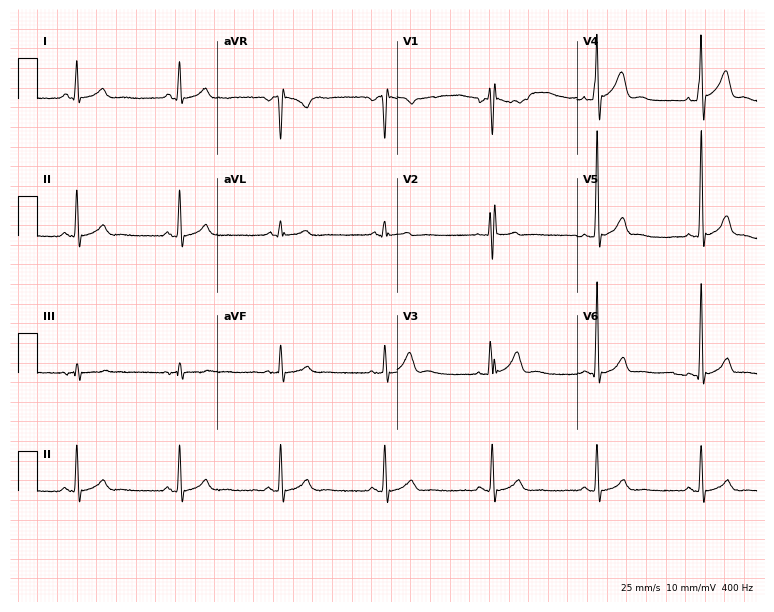
Electrocardiogram, a 26-year-old male patient. Of the six screened findings (first-degree AV block, right bundle branch block, left bundle branch block, sinus bradycardia, atrial fibrillation, sinus tachycardia), none is recorded.